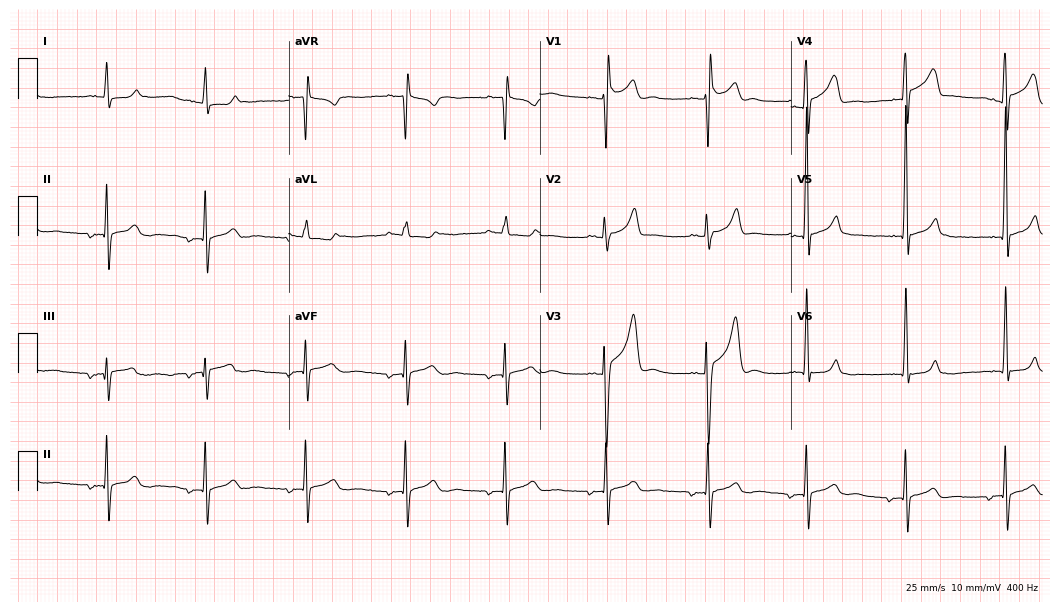
ECG (10.2-second recording at 400 Hz) — a 26-year-old male. Screened for six findings — first-degree AV block, right bundle branch block, left bundle branch block, sinus bradycardia, atrial fibrillation, sinus tachycardia — none is recorded. Findings outside these six are not listed.